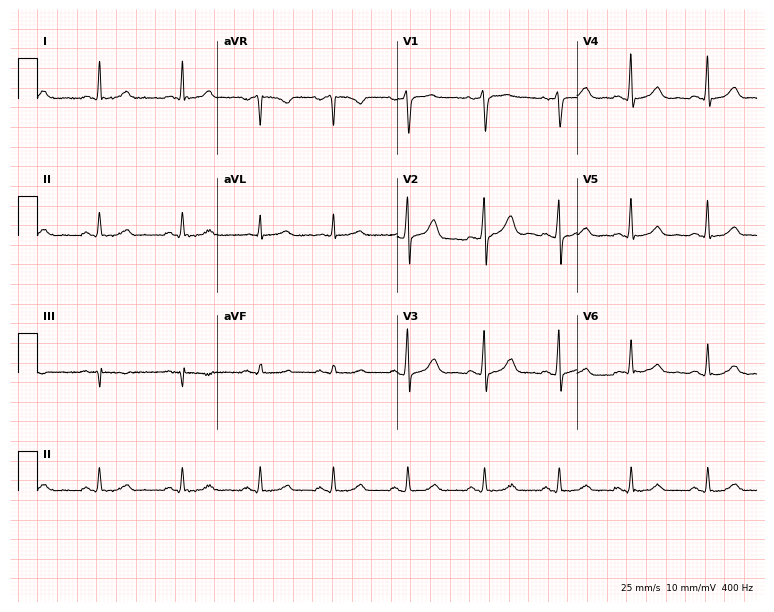
Electrocardiogram (7.3-second recording at 400 Hz), a 62-year-old man. Of the six screened findings (first-degree AV block, right bundle branch block, left bundle branch block, sinus bradycardia, atrial fibrillation, sinus tachycardia), none is recorded.